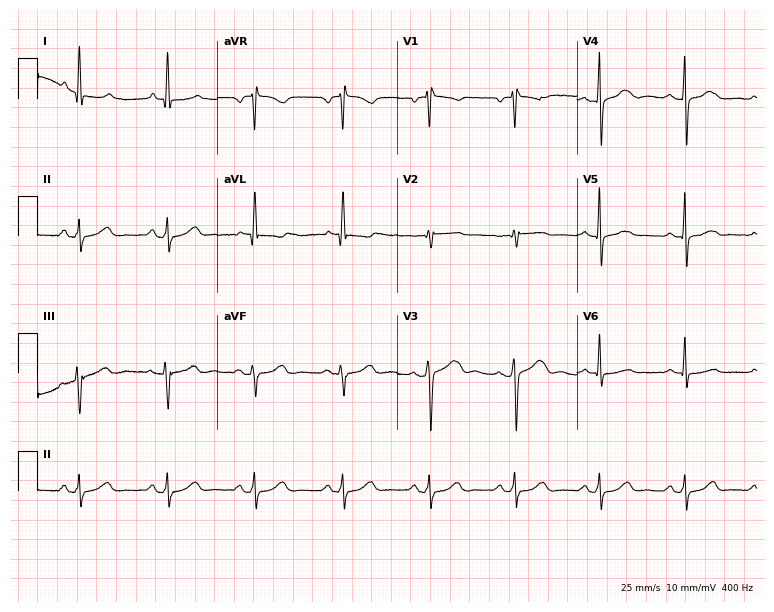
Resting 12-lead electrocardiogram. Patient: a woman, 57 years old. None of these six findings is recorded: first-degree AV block, right bundle branch block, left bundle branch block, sinus bradycardia, atrial fibrillation, sinus tachycardia.